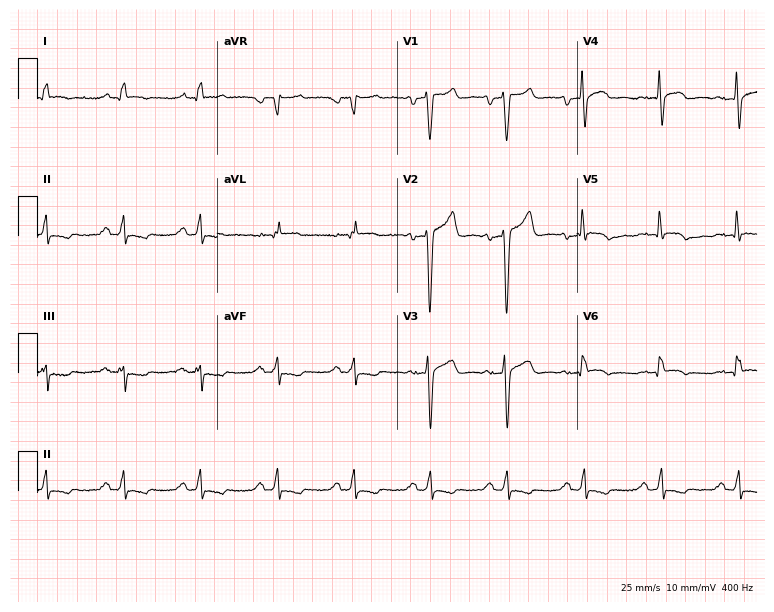
12-lead ECG from a male patient, 62 years old. Screened for six findings — first-degree AV block, right bundle branch block, left bundle branch block, sinus bradycardia, atrial fibrillation, sinus tachycardia — none is recorded. Only these six findings were labelled.